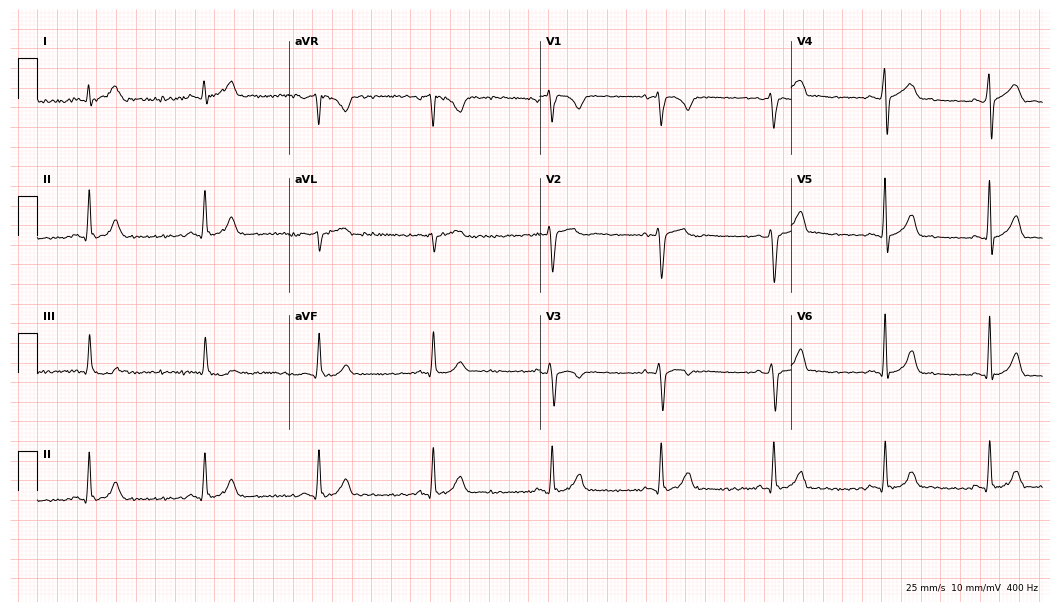
12-lead ECG from a 28-year-old male patient (10.2-second recording at 400 Hz). No first-degree AV block, right bundle branch block, left bundle branch block, sinus bradycardia, atrial fibrillation or sinus tachycardia recorded for this tracing.